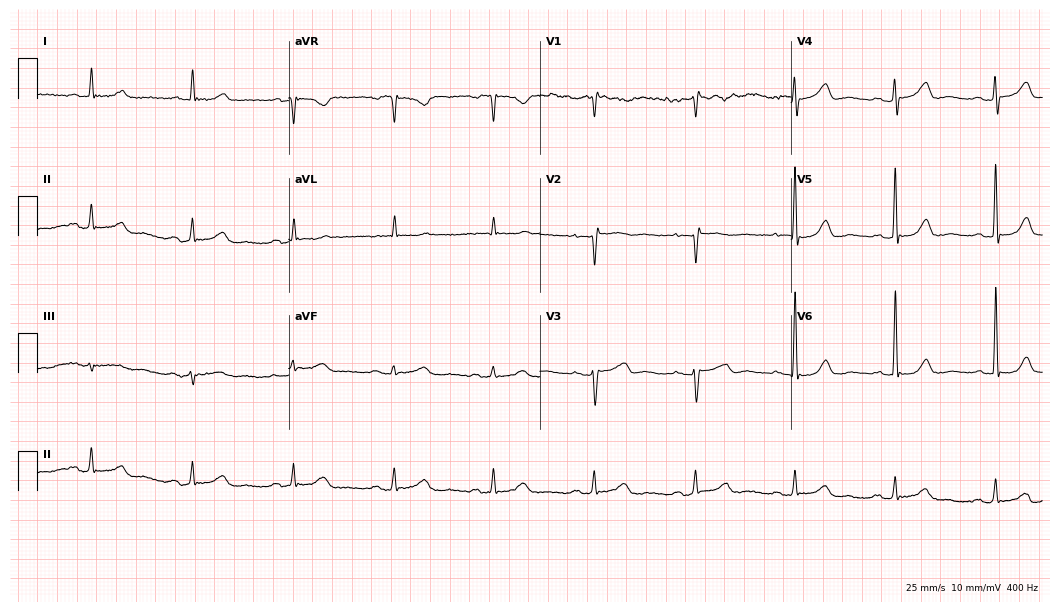
ECG — a female patient, 79 years old. Screened for six findings — first-degree AV block, right bundle branch block, left bundle branch block, sinus bradycardia, atrial fibrillation, sinus tachycardia — none is recorded.